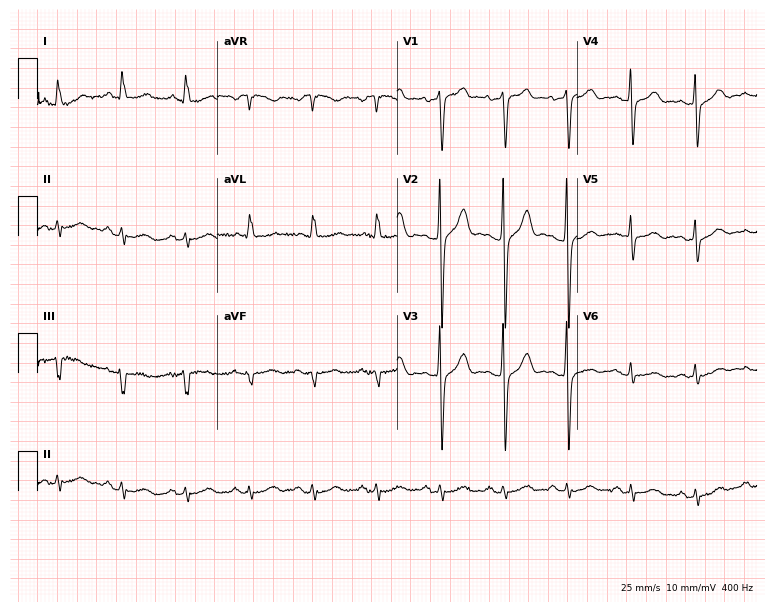
Electrocardiogram, a 39-year-old male. Overall reading on record: normal ECG.